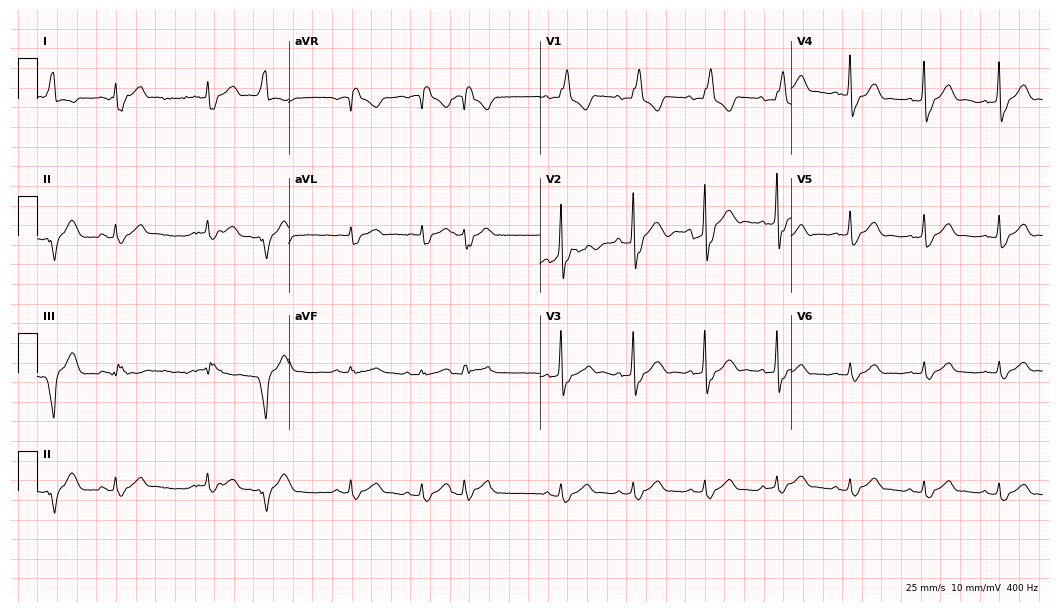
Standard 12-lead ECG recorded from a man, 75 years old. The tracing shows atrial fibrillation.